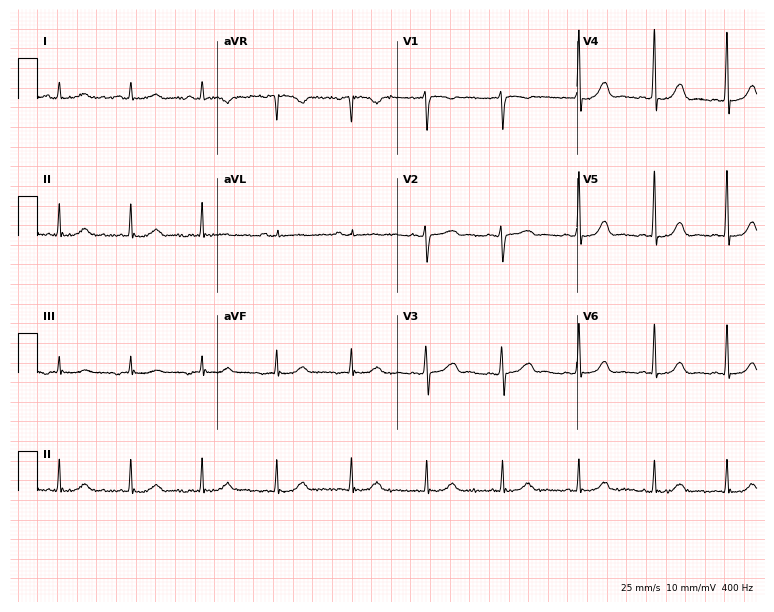
12-lead ECG from a female, 27 years old. No first-degree AV block, right bundle branch block, left bundle branch block, sinus bradycardia, atrial fibrillation or sinus tachycardia recorded for this tracing. Findings outside these six are not listed.